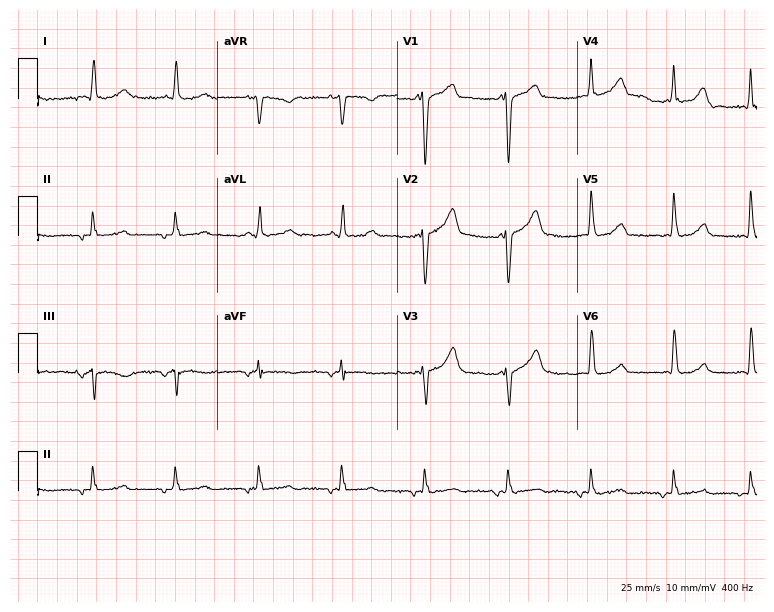
12-lead ECG from a 60-year-old male (7.3-second recording at 400 Hz). No first-degree AV block, right bundle branch block (RBBB), left bundle branch block (LBBB), sinus bradycardia, atrial fibrillation (AF) or sinus tachycardia recorded for this tracing.